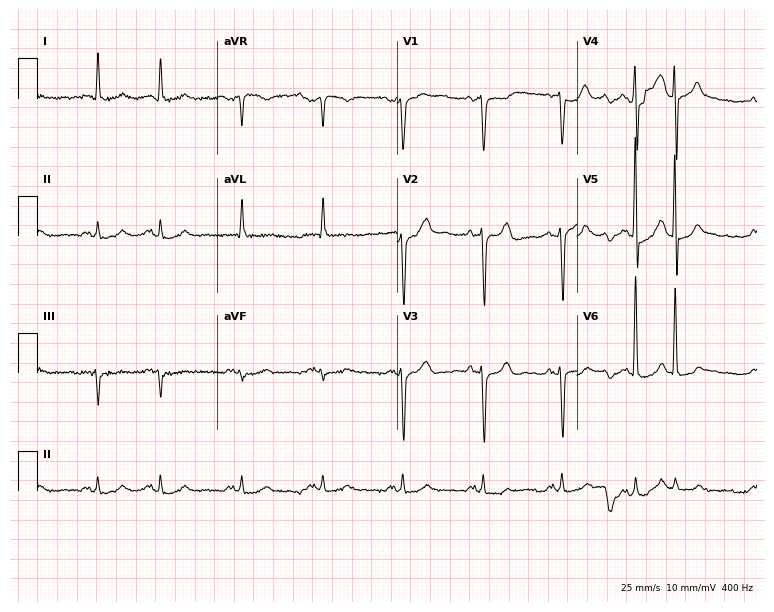
ECG — an 82-year-old man. Screened for six findings — first-degree AV block, right bundle branch block (RBBB), left bundle branch block (LBBB), sinus bradycardia, atrial fibrillation (AF), sinus tachycardia — none is recorded. Other findings, if any, are not listed.